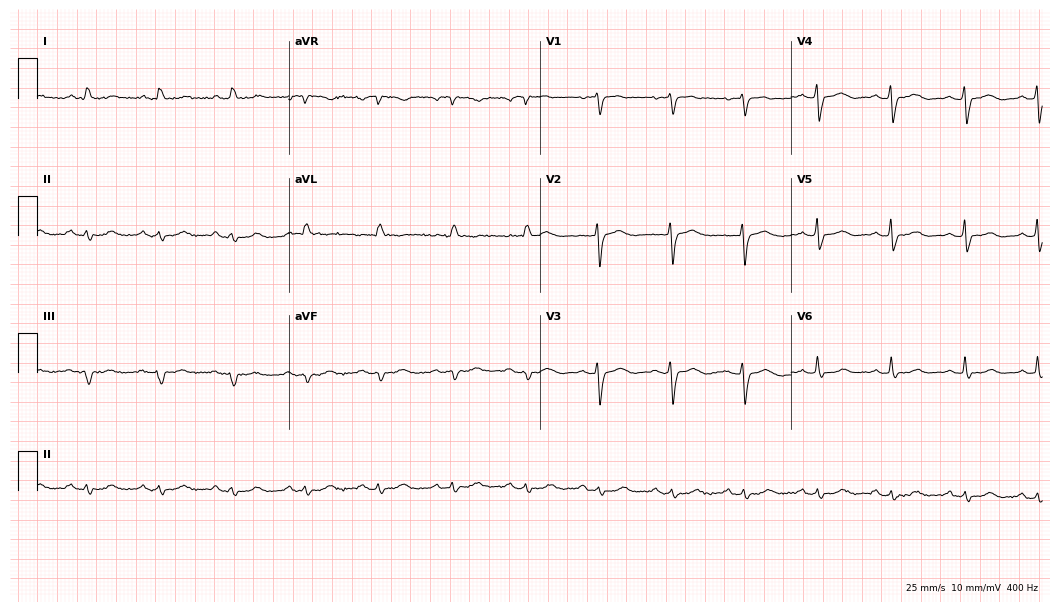
ECG (10.2-second recording at 400 Hz) — a female, 78 years old. Screened for six findings — first-degree AV block, right bundle branch block, left bundle branch block, sinus bradycardia, atrial fibrillation, sinus tachycardia — none is recorded.